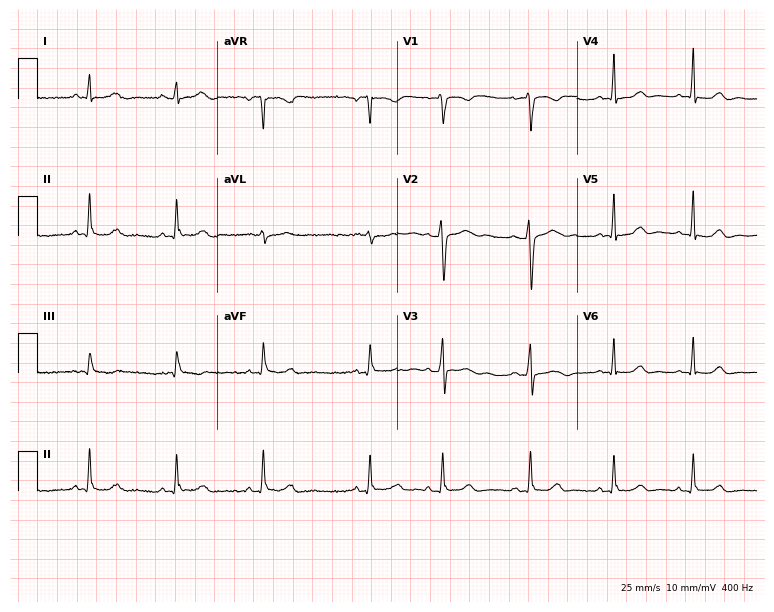
Standard 12-lead ECG recorded from a 28-year-old female (7.3-second recording at 400 Hz). Read as a normal ECG.